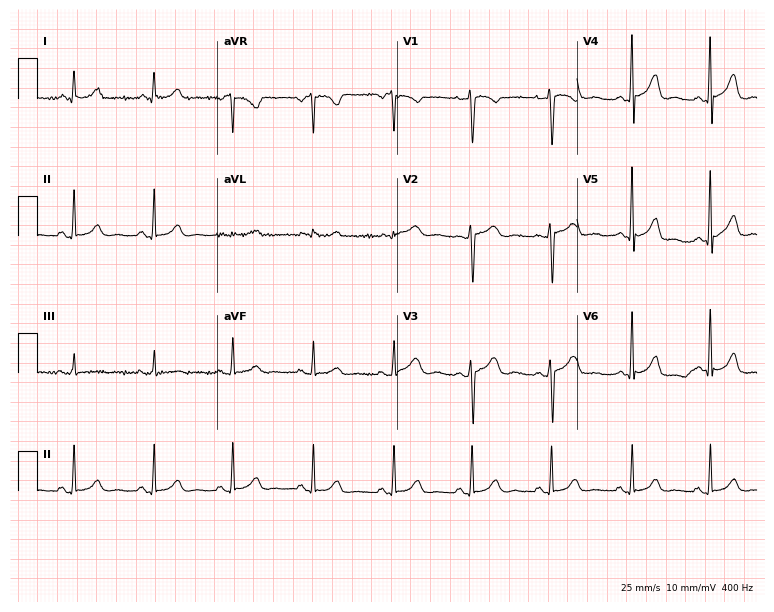
Standard 12-lead ECG recorded from a 40-year-old female patient. Read as a normal ECG.